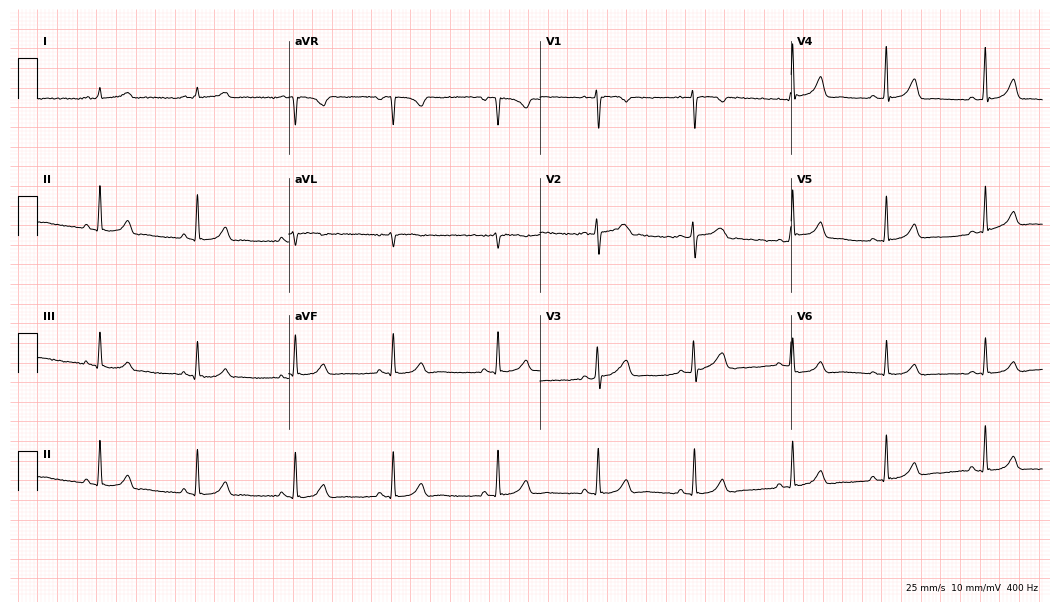
Standard 12-lead ECG recorded from a woman, 30 years old. Read as a normal ECG.